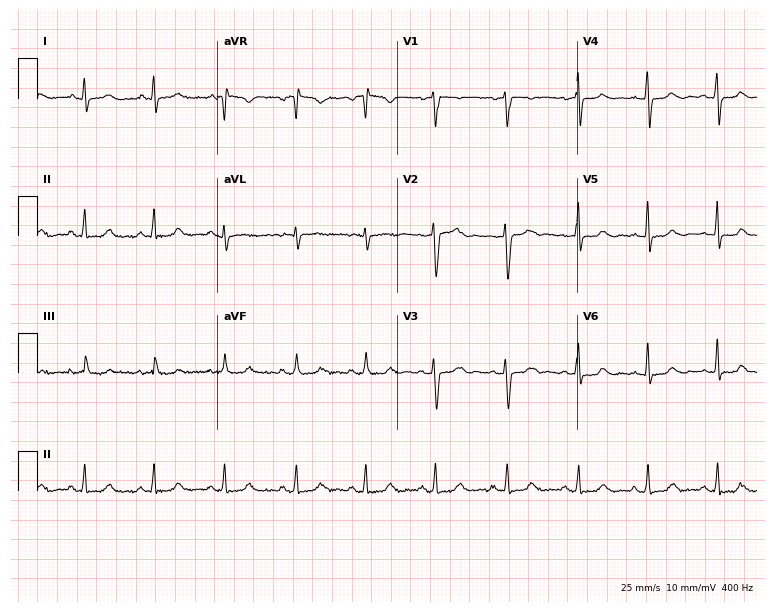
Standard 12-lead ECG recorded from a female patient, 29 years old. Read as a normal ECG.